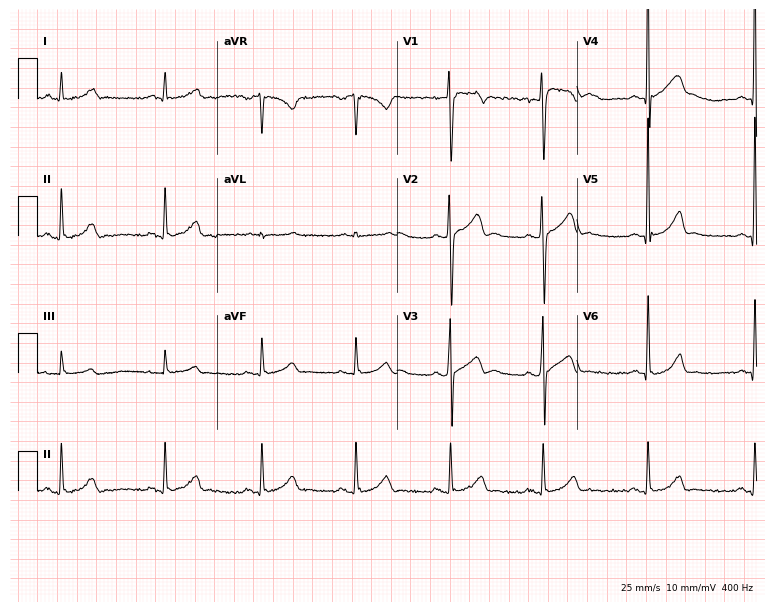
12-lead ECG from a male patient, 34 years old (7.3-second recording at 400 Hz). Recorded interpretation: within normal limits.